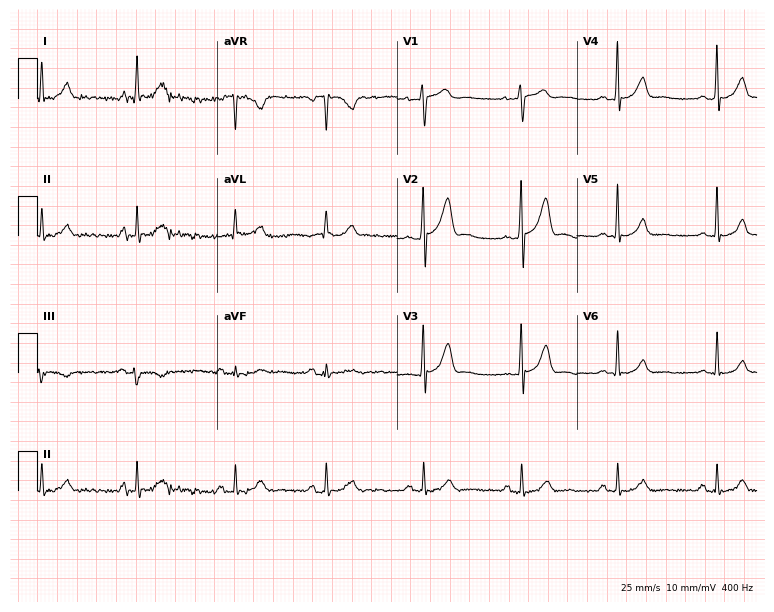
Electrocardiogram (7.3-second recording at 400 Hz), a male, 35 years old. Of the six screened findings (first-degree AV block, right bundle branch block (RBBB), left bundle branch block (LBBB), sinus bradycardia, atrial fibrillation (AF), sinus tachycardia), none is recorded.